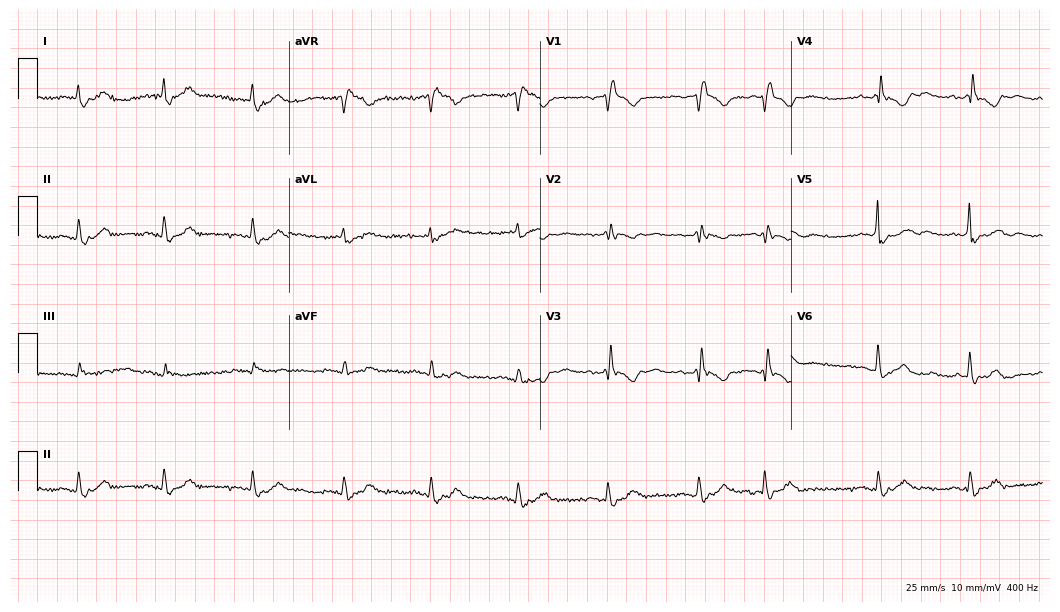
Standard 12-lead ECG recorded from a 75-year-old woman (10.2-second recording at 400 Hz). The tracing shows right bundle branch block (RBBB).